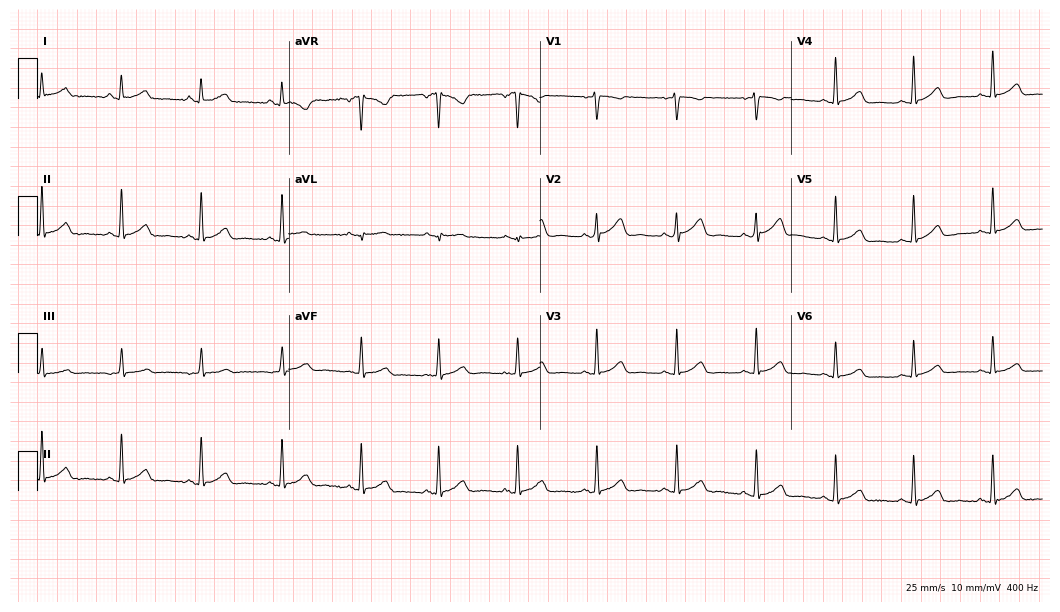
Standard 12-lead ECG recorded from a 60-year-old female. None of these six findings is recorded: first-degree AV block, right bundle branch block, left bundle branch block, sinus bradycardia, atrial fibrillation, sinus tachycardia. Findings outside these six are not listed.